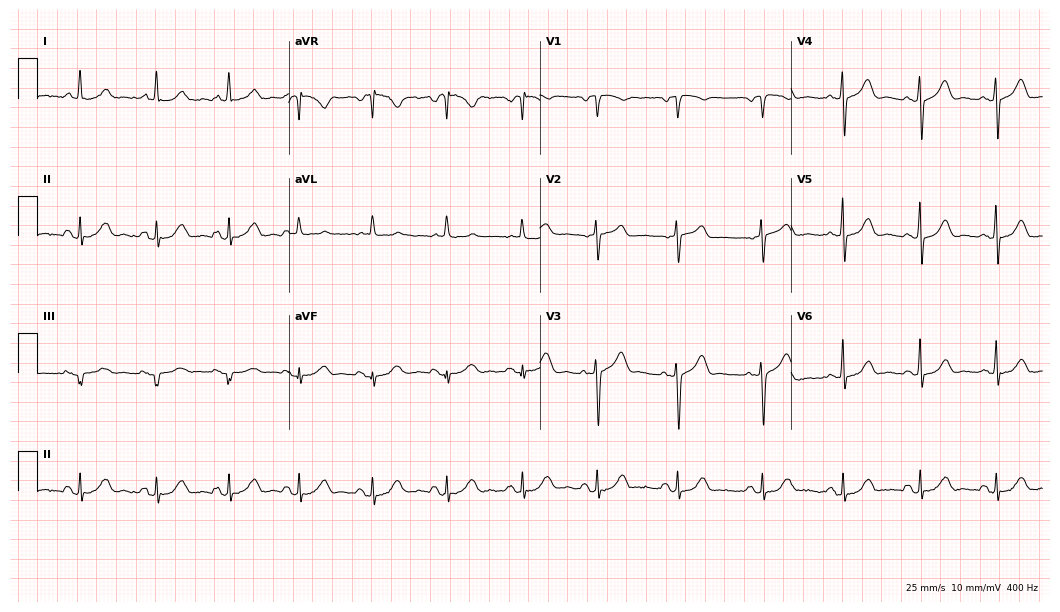
12-lead ECG from a 66-year-old woman. Recorded interpretation: within normal limits.